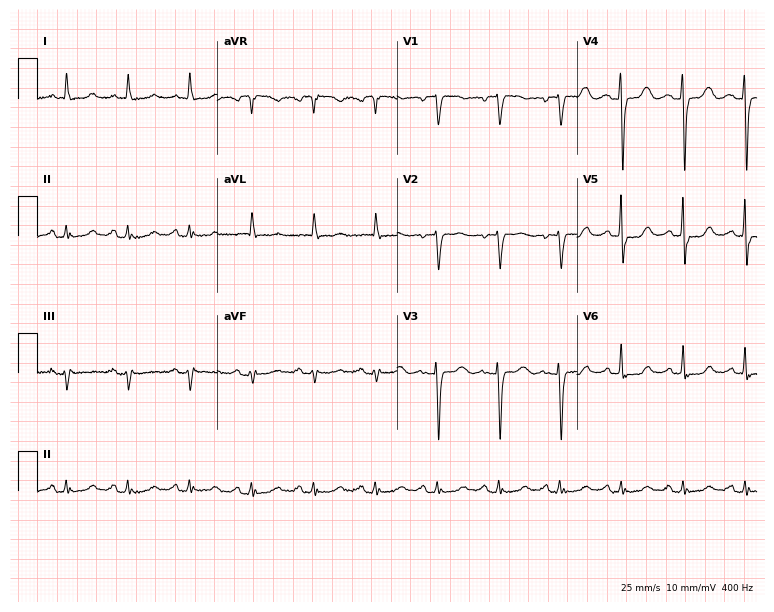
12-lead ECG (7.3-second recording at 400 Hz) from a female, 70 years old. Screened for six findings — first-degree AV block, right bundle branch block, left bundle branch block, sinus bradycardia, atrial fibrillation, sinus tachycardia — none is recorded.